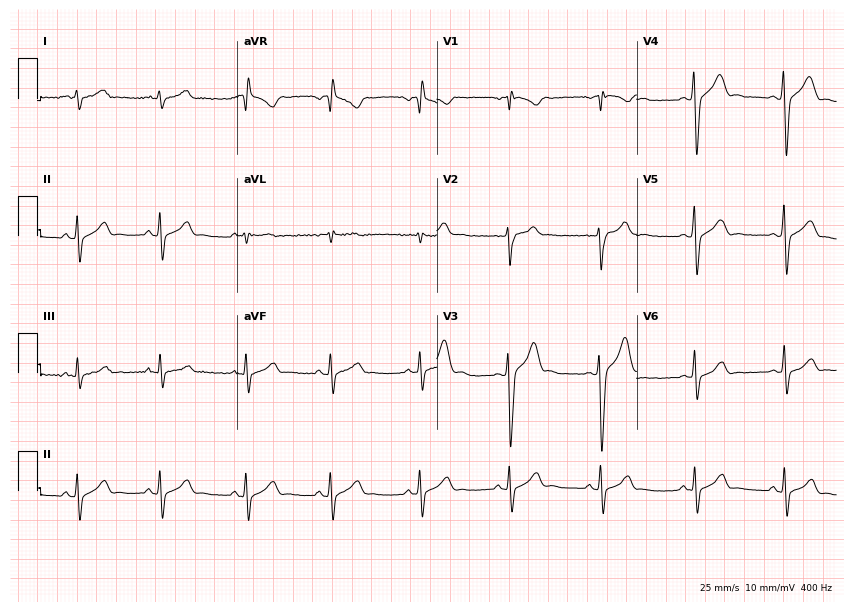
Resting 12-lead electrocardiogram. Patient: a woman, 20 years old. None of these six findings is recorded: first-degree AV block, right bundle branch block (RBBB), left bundle branch block (LBBB), sinus bradycardia, atrial fibrillation (AF), sinus tachycardia.